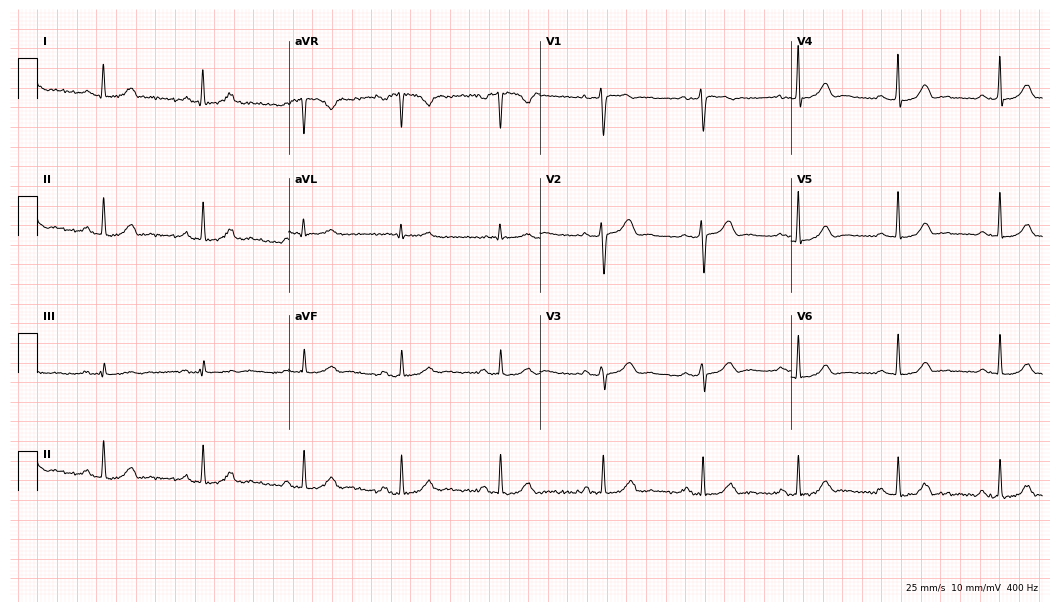
Electrocardiogram (10.2-second recording at 400 Hz), a woman, 36 years old. Of the six screened findings (first-degree AV block, right bundle branch block, left bundle branch block, sinus bradycardia, atrial fibrillation, sinus tachycardia), none is recorded. Only these six findings were labelled.